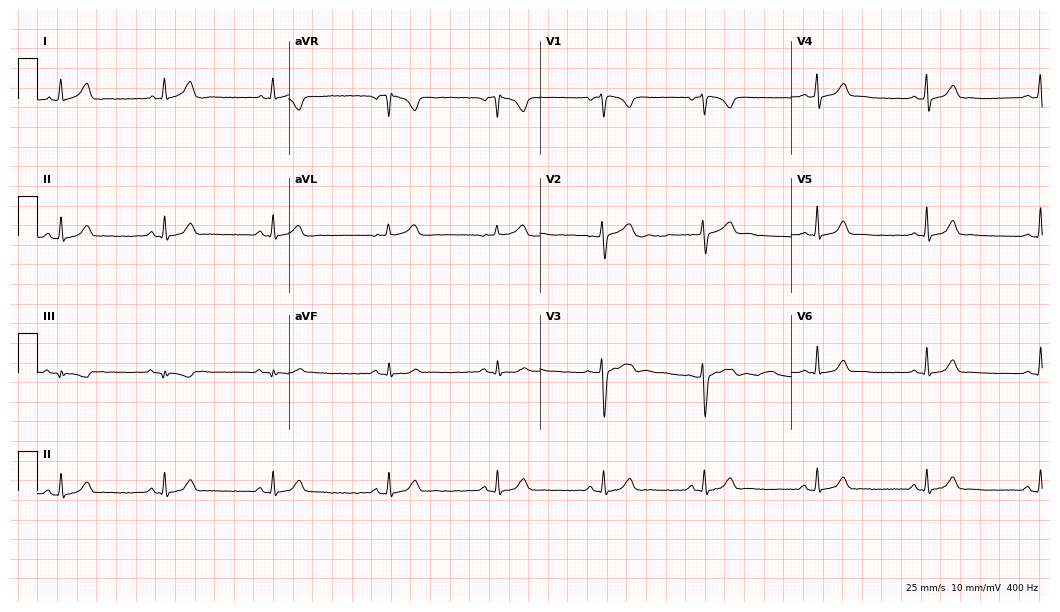
12-lead ECG from a 25-year-old female. Labelled as a normal ECG.